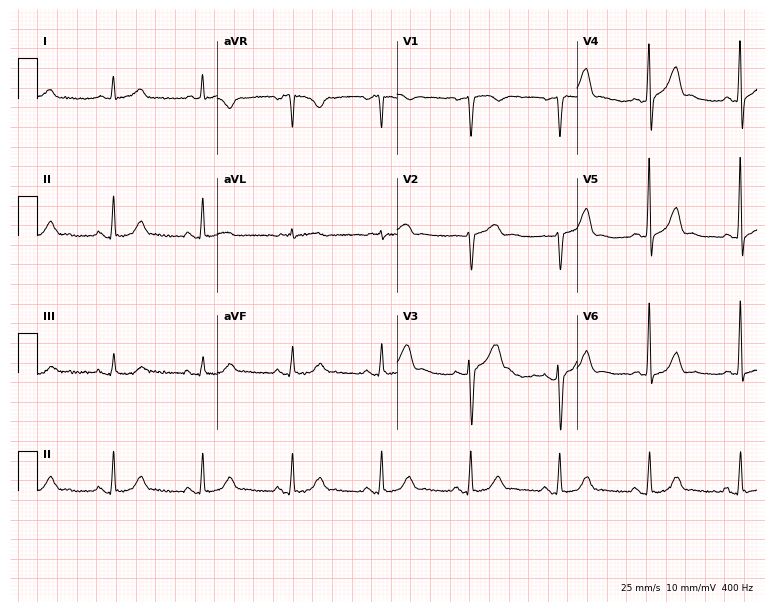
ECG — a male patient, 67 years old. Screened for six findings — first-degree AV block, right bundle branch block, left bundle branch block, sinus bradycardia, atrial fibrillation, sinus tachycardia — none is recorded.